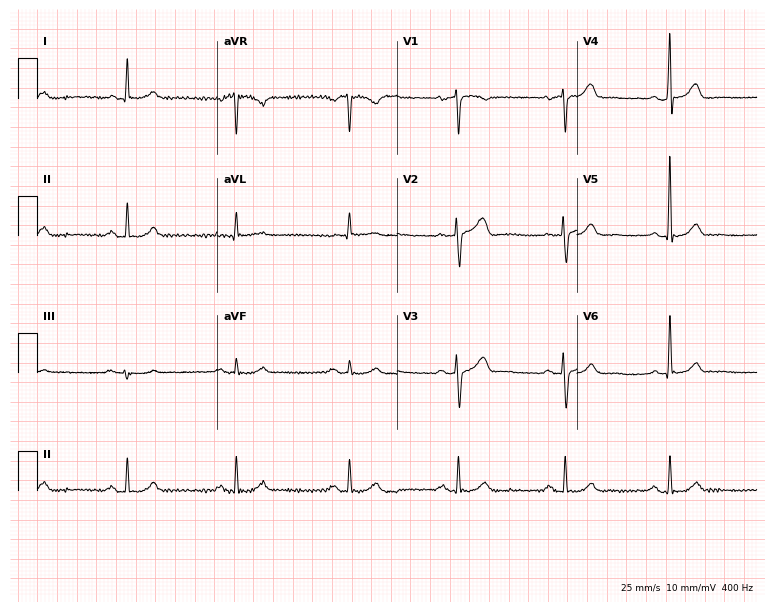
12-lead ECG from a 58-year-old male (7.3-second recording at 400 Hz). Recorded interpretation: within normal limits.